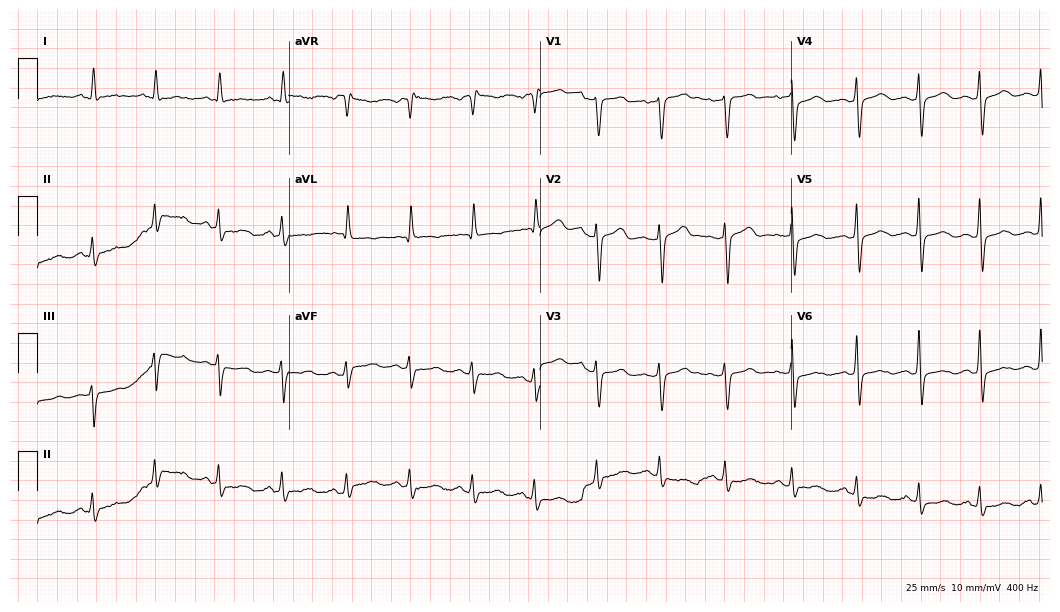
Standard 12-lead ECG recorded from a 55-year-old female (10.2-second recording at 400 Hz). None of these six findings is recorded: first-degree AV block, right bundle branch block (RBBB), left bundle branch block (LBBB), sinus bradycardia, atrial fibrillation (AF), sinus tachycardia.